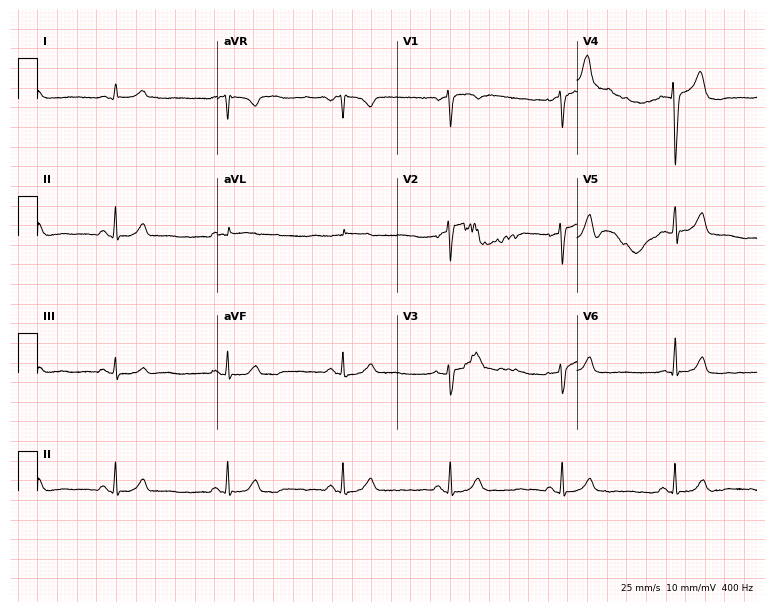
ECG — a 56-year-old male patient. Findings include sinus bradycardia (a sinus rate of 50 beats per minute or less).